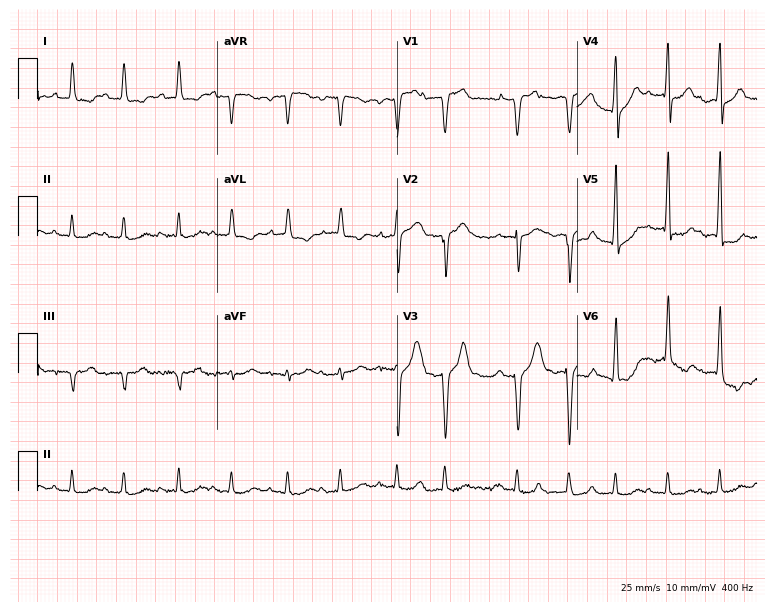
Standard 12-lead ECG recorded from a 78-year-old male patient (7.3-second recording at 400 Hz). None of these six findings is recorded: first-degree AV block, right bundle branch block (RBBB), left bundle branch block (LBBB), sinus bradycardia, atrial fibrillation (AF), sinus tachycardia.